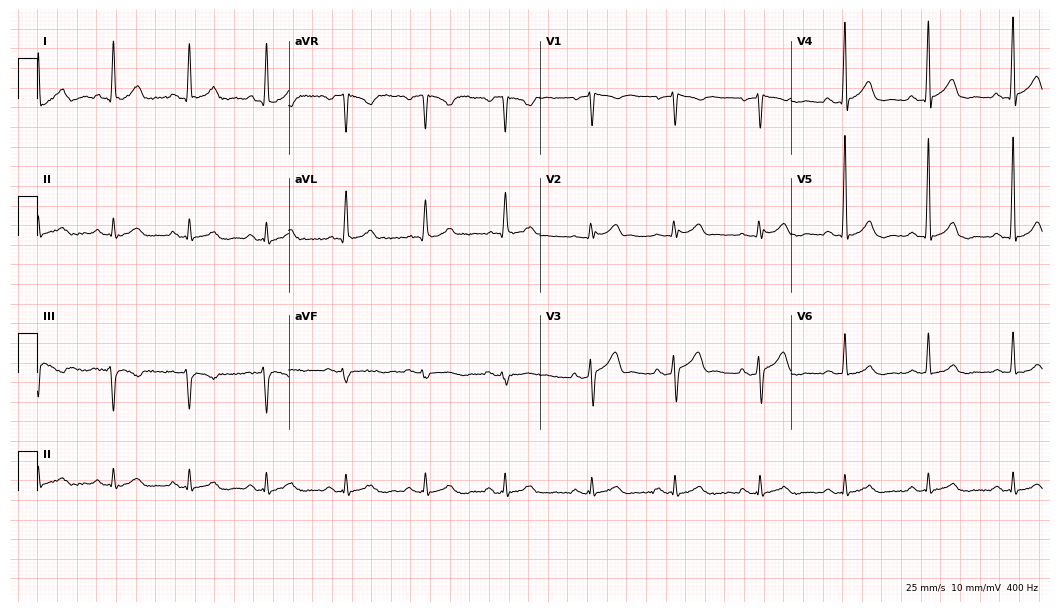
Standard 12-lead ECG recorded from a female patient, 53 years old. Read as a normal ECG.